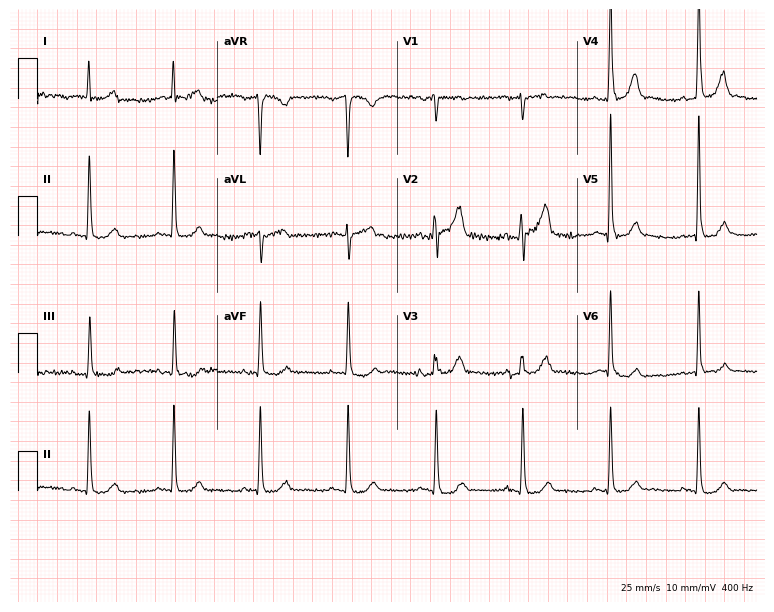
12-lead ECG from a 57-year-old man. Labelled as a normal ECG.